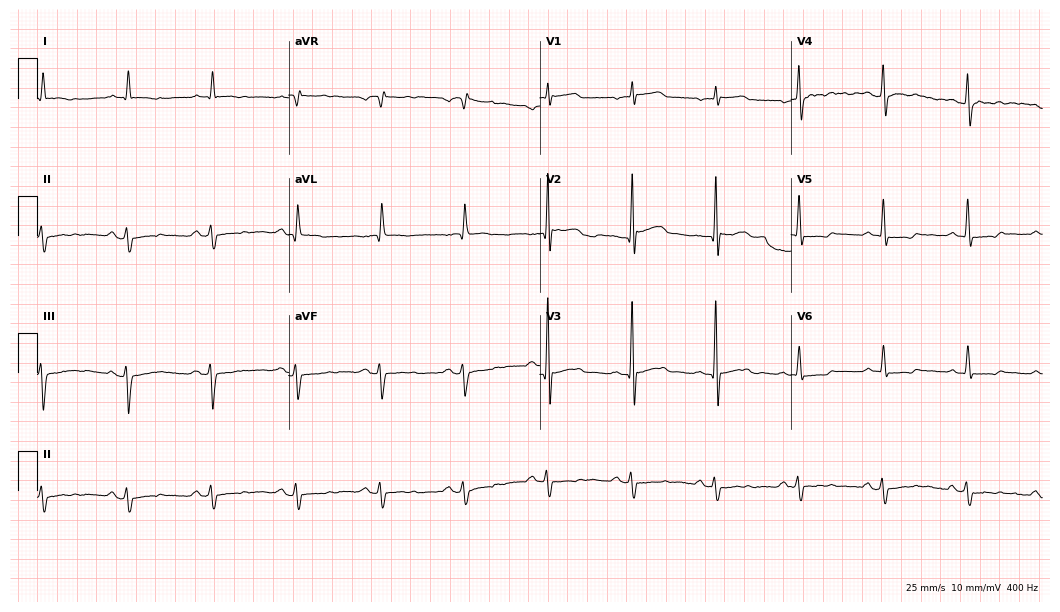
12-lead ECG from a 72-year-old woman. No first-degree AV block, right bundle branch block (RBBB), left bundle branch block (LBBB), sinus bradycardia, atrial fibrillation (AF) or sinus tachycardia recorded for this tracing. Other findings, if any, are not listed.